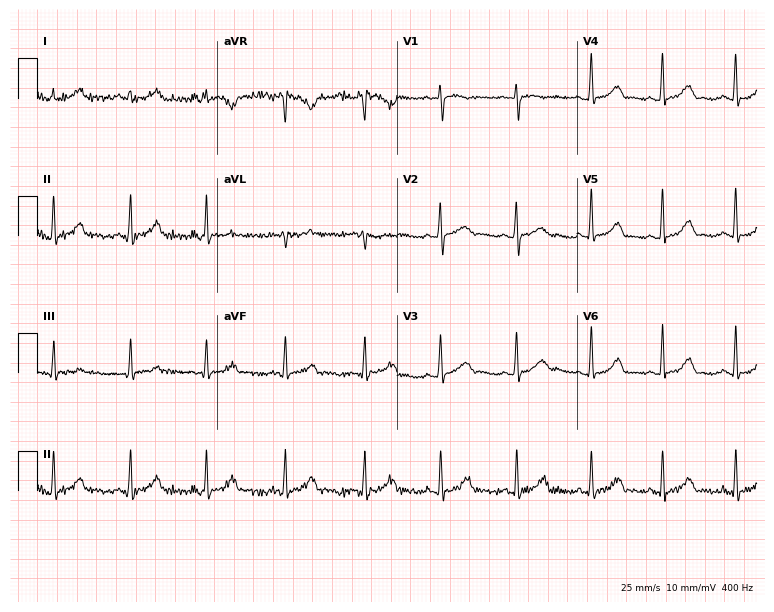
Standard 12-lead ECG recorded from a female patient, 17 years old. Read as a normal ECG.